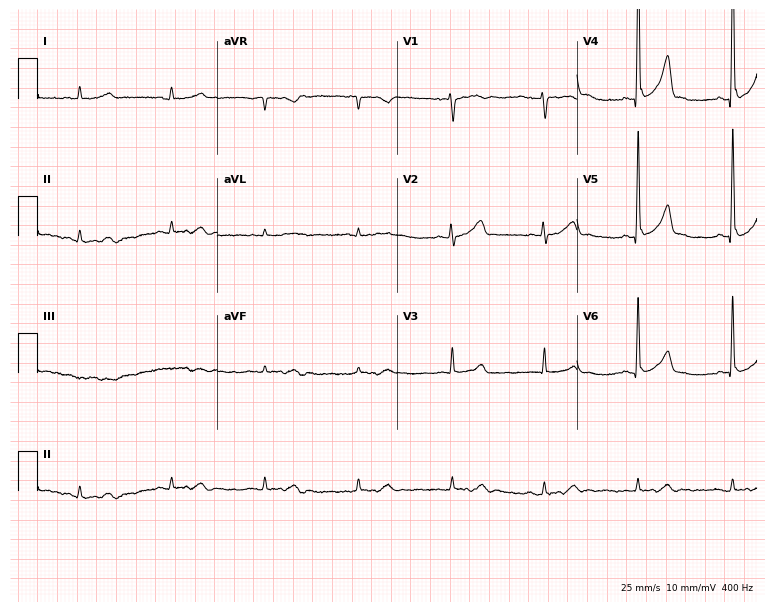
Standard 12-lead ECG recorded from a 44-year-old woman (7.3-second recording at 400 Hz). None of these six findings is recorded: first-degree AV block, right bundle branch block (RBBB), left bundle branch block (LBBB), sinus bradycardia, atrial fibrillation (AF), sinus tachycardia.